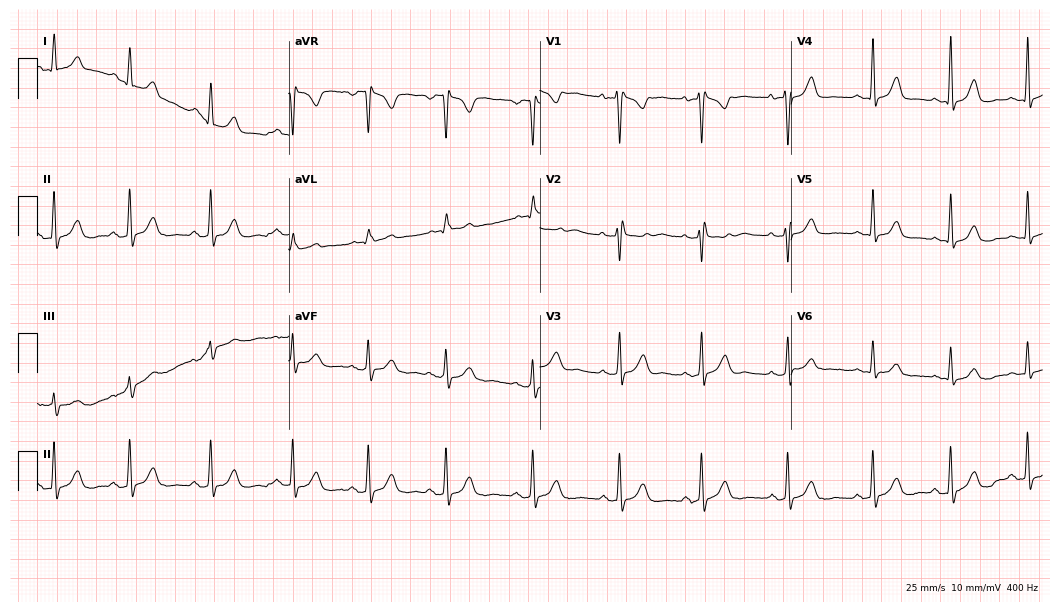
12-lead ECG (10.2-second recording at 400 Hz) from a woman, 23 years old. Screened for six findings — first-degree AV block, right bundle branch block, left bundle branch block, sinus bradycardia, atrial fibrillation, sinus tachycardia — none is recorded. Findings outside these six are not listed.